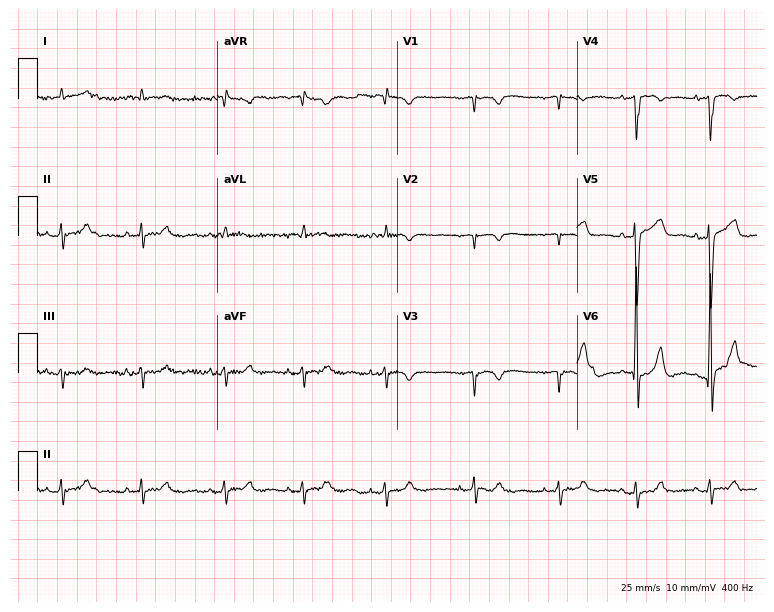
Standard 12-lead ECG recorded from a male, 82 years old (7.3-second recording at 400 Hz). None of these six findings is recorded: first-degree AV block, right bundle branch block, left bundle branch block, sinus bradycardia, atrial fibrillation, sinus tachycardia. Findings outside these six are not listed.